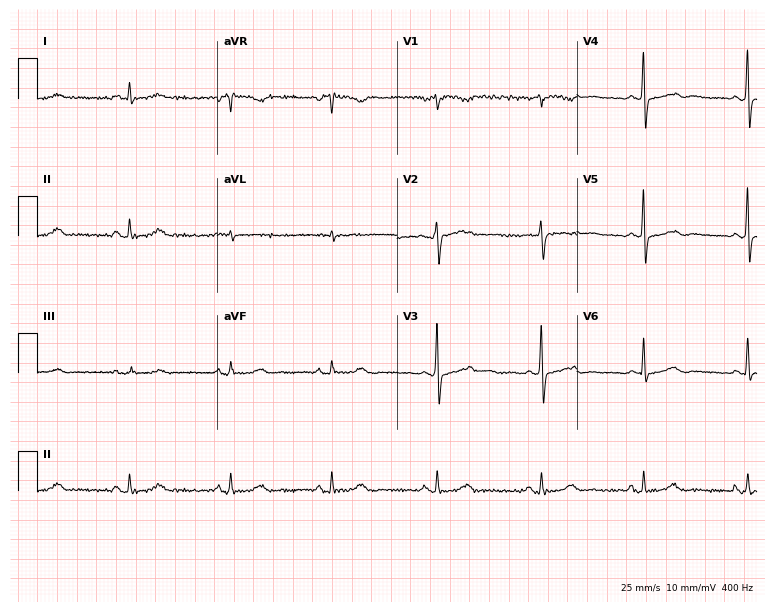
12-lead ECG from a 67-year-old man. Recorded interpretation: within normal limits.